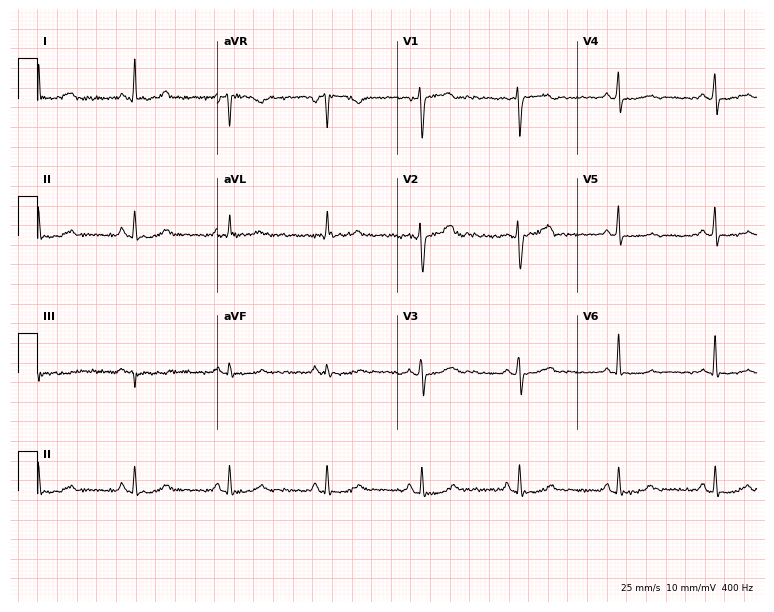
12-lead ECG from a 42-year-old female. Labelled as a normal ECG.